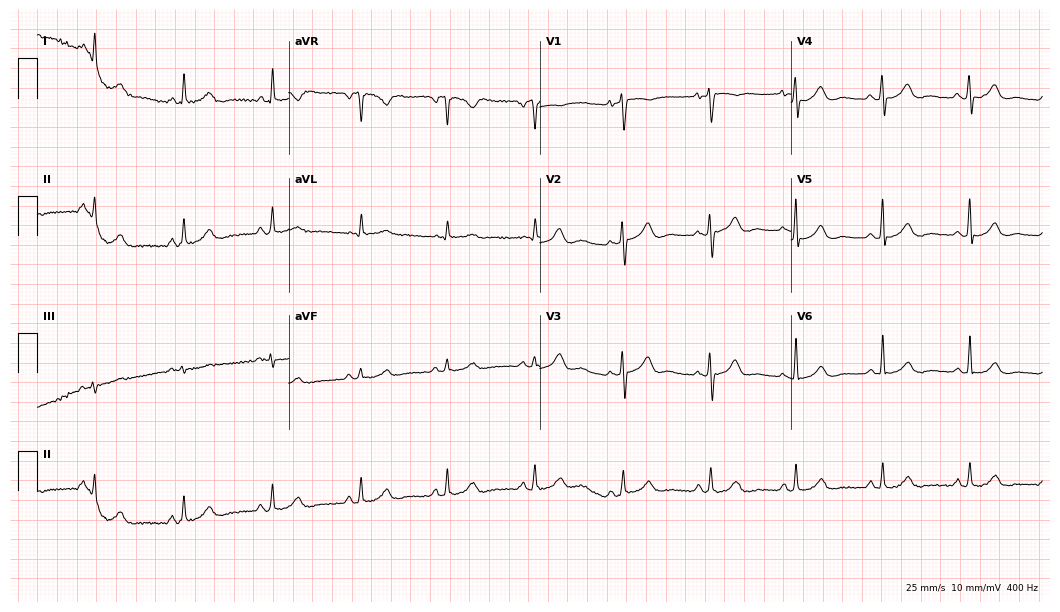
12-lead ECG from a woman, 47 years old. Recorded interpretation: within normal limits.